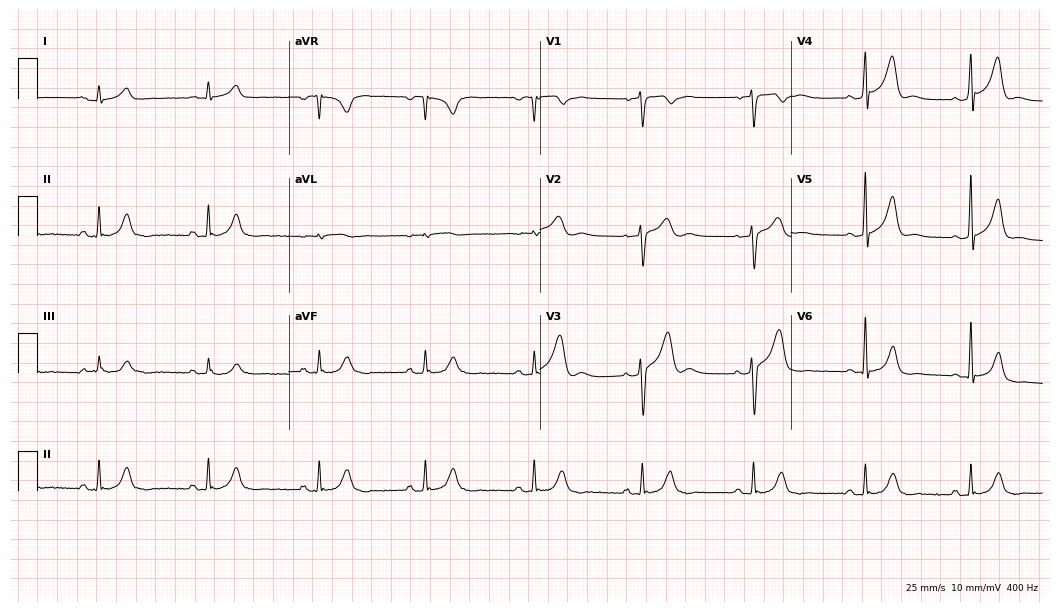
Electrocardiogram (10.2-second recording at 400 Hz), a male, 60 years old. Overall reading on record: normal ECG.